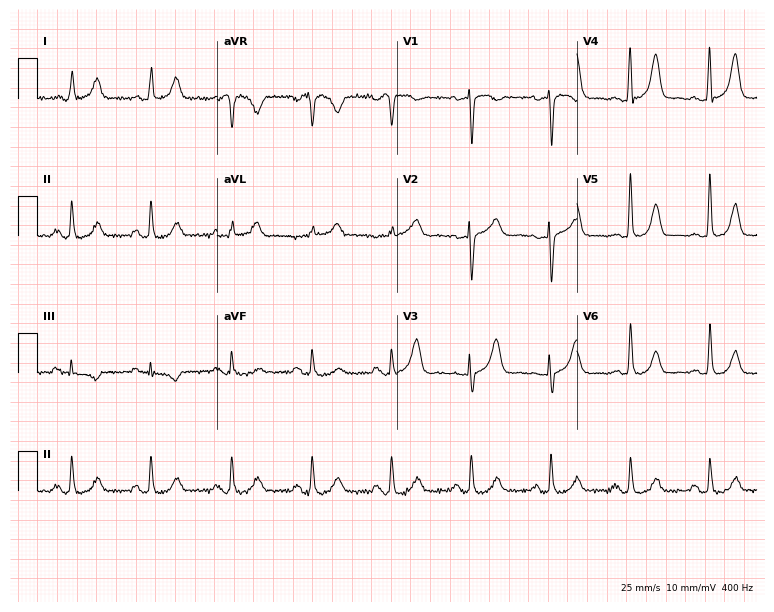
12-lead ECG from a 74-year-old female. No first-degree AV block, right bundle branch block, left bundle branch block, sinus bradycardia, atrial fibrillation or sinus tachycardia recorded for this tracing. Findings outside these six are not listed.